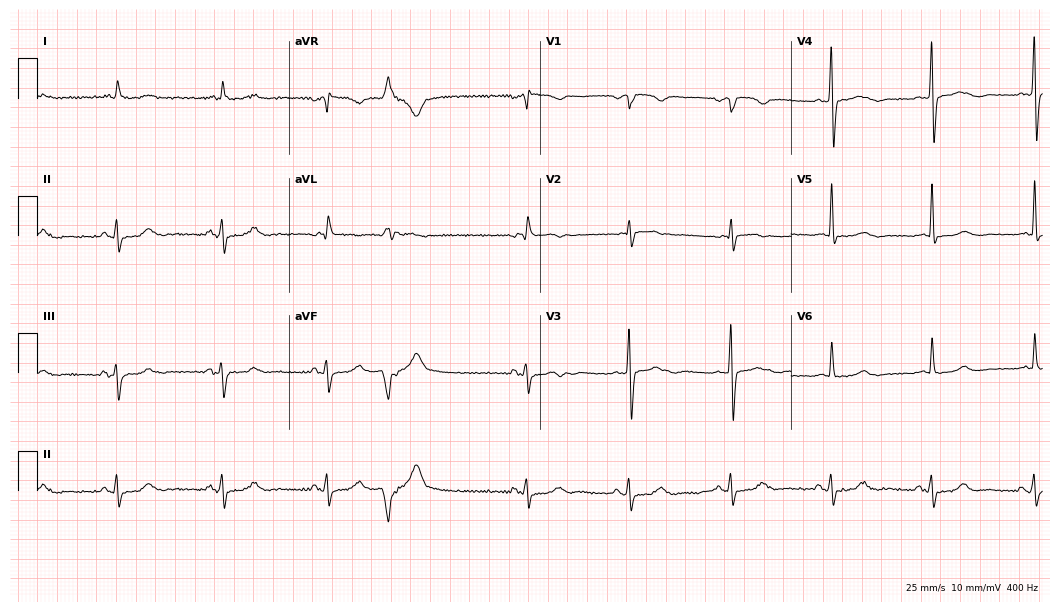
12-lead ECG from a 76-year-old woman (10.2-second recording at 400 Hz). No first-degree AV block, right bundle branch block, left bundle branch block, sinus bradycardia, atrial fibrillation or sinus tachycardia recorded for this tracing.